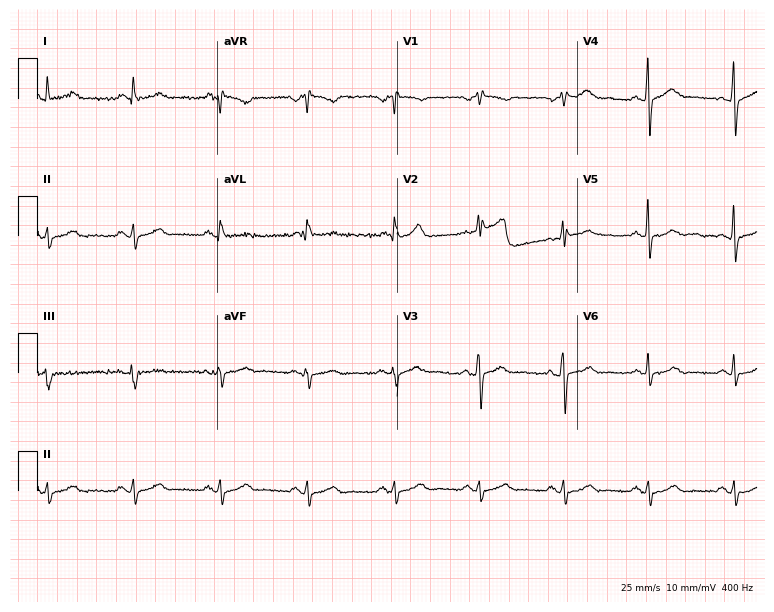
Standard 12-lead ECG recorded from a male, 50 years old. None of these six findings is recorded: first-degree AV block, right bundle branch block, left bundle branch block, sinus bradycardia, atrial fibrillation, sinus tachycardia.